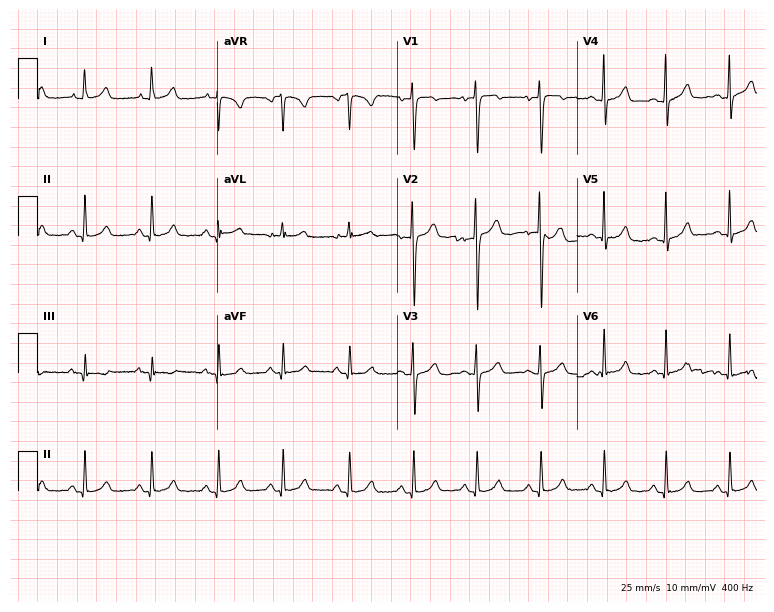
12-lead ECG from a 33-year-old female patient. Labelled as a normal ECG.